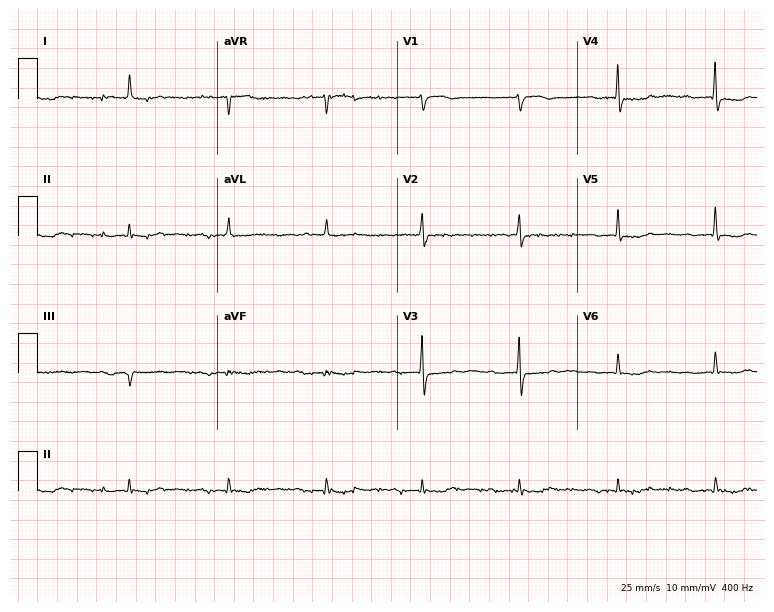
Resting 12-lead electrocardiogram (7.3-second recording at 400 Hz). Patient: an 80-year-old female. None of these six findings is recorded: first-degree AV block, right bundle branch block (RBBB), left bundle branch block (LBBB), sinus bradycardia, atrial fibrillation (AF), sinus tachycardia. Other findings, if any, are not listed.